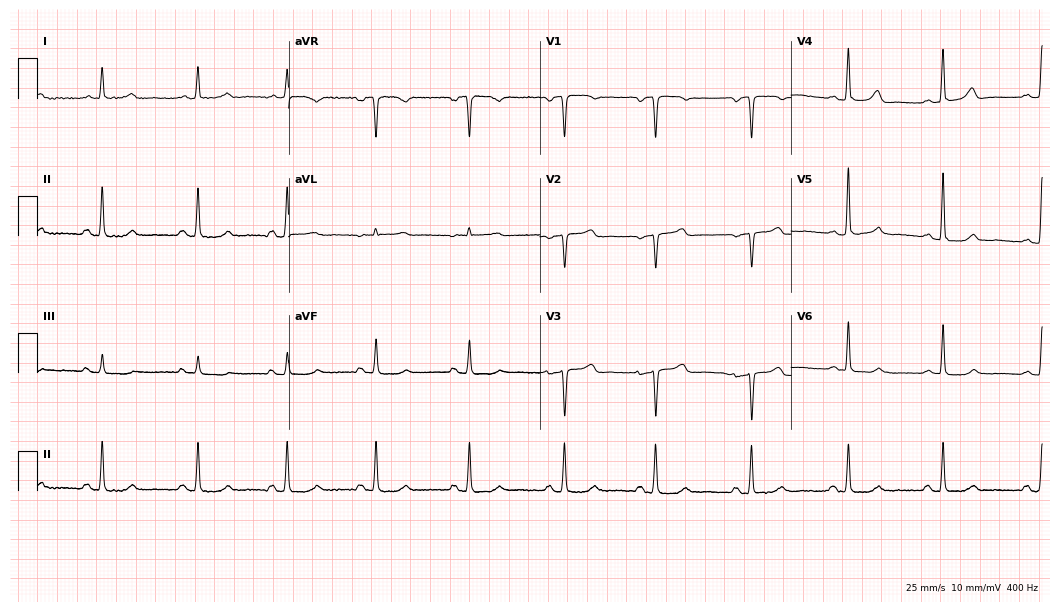
12-lead ECG from a female patient, 60 years old (10.2-second recording at 400 Hz). No first-degree AV block, right bundle branch block, left bundle branch block, sinus bradycardia, atrial fibrillation or sinus tachycardia recorded for this tracing.